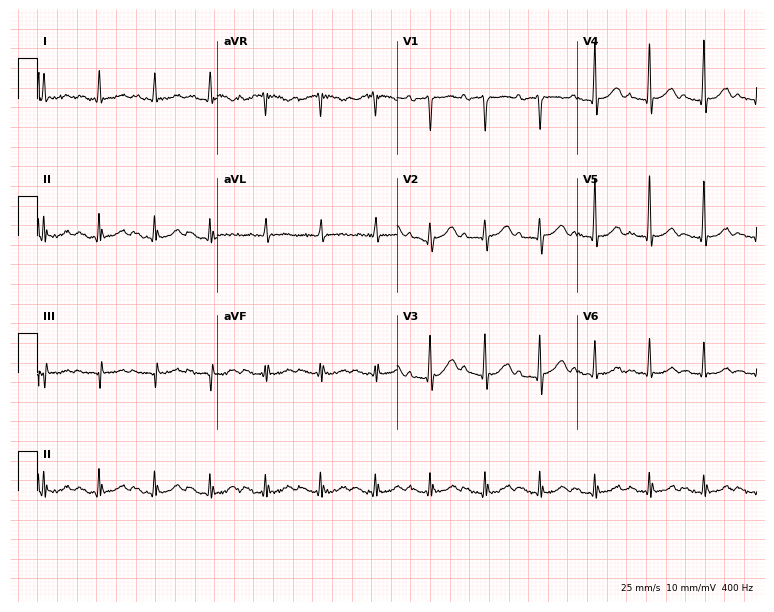
Standard 12-lead ECG recorded from an 85-year-old male patient. The tracing shows sinus tachycardia (a sinus rate of 100 beats per minute or more).